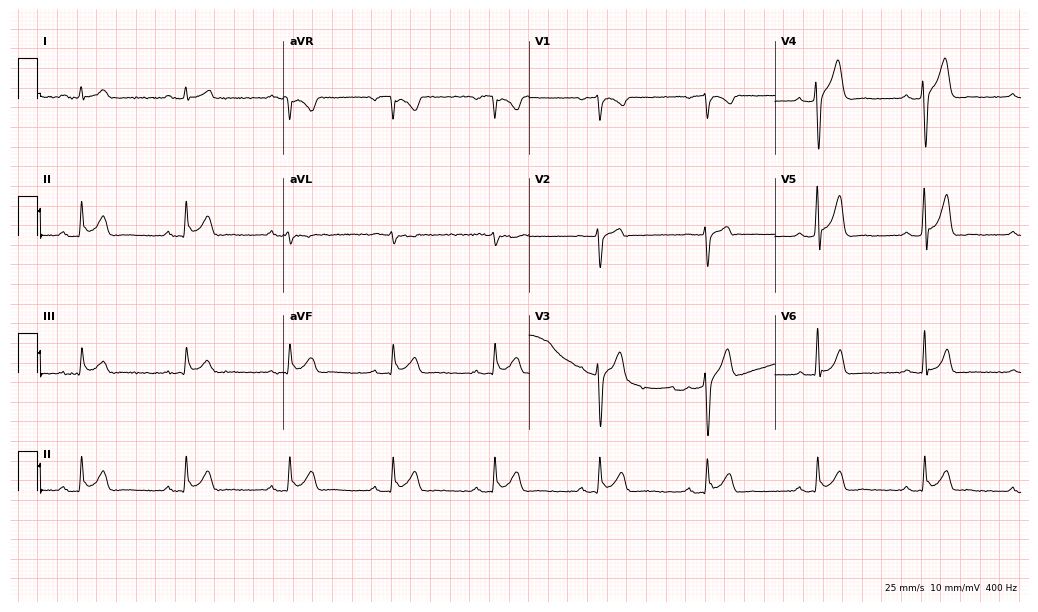
ECG (10-second recording at 400 Hz) — a male patient, 36 years old. Screened for six findings — first-degree AV block, right bundle branch block (RBBB), left bundle branch block (LBBB), sinus bradycardia, atrial fibrillation (AF), sinus tachycardia — none is recorded. Only these six findings were labelled.